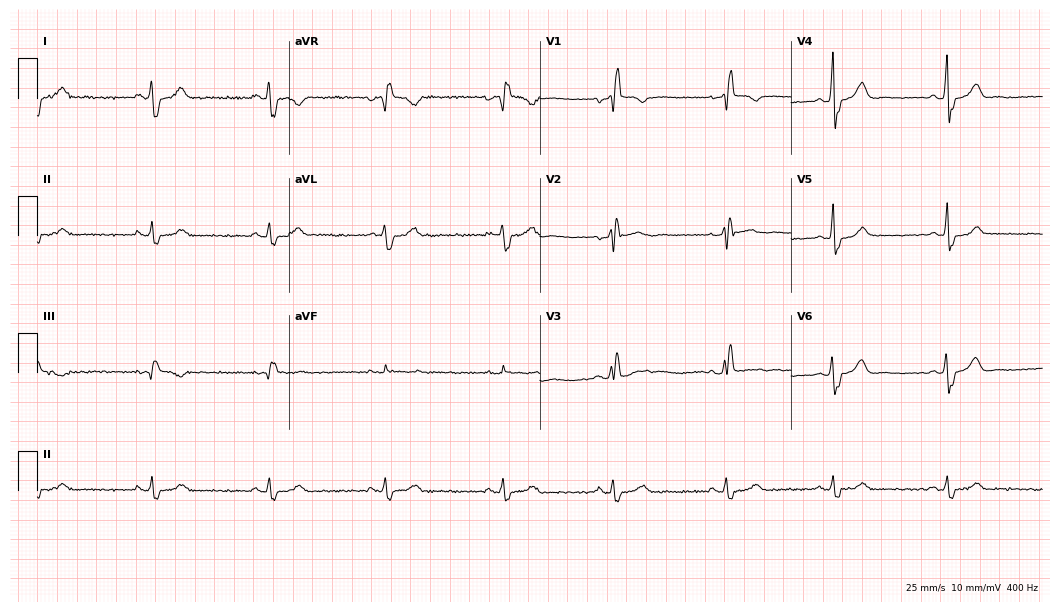
12-lead ECG from a 53-year-old male patient. Shows right bundle branch block.